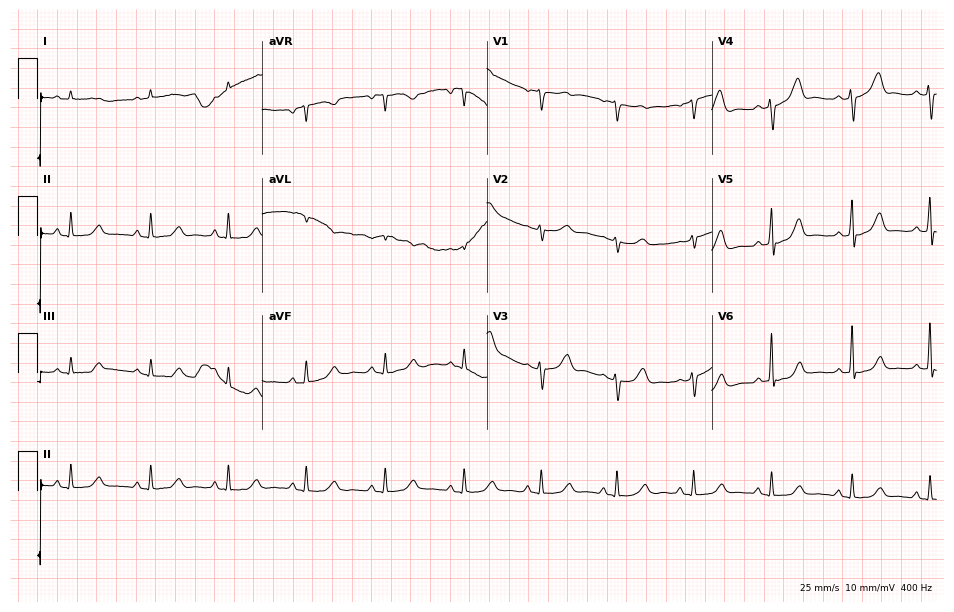
Resting 12-lead electrocardiogram. Patient: a female, 56 years old. None of these six findings is recorded: first-degree AV block, right bundle branch block, left bundle branch block, sinus bradycardia, atrial fibrillation, sinus tachycardia.